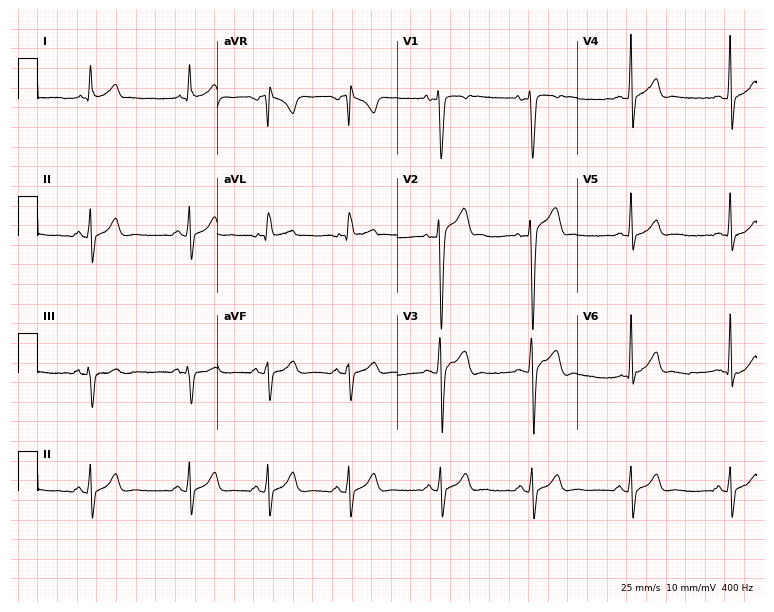
Resting 12-lead electrocardiogram (7.3-second recording at 400 Hz). Patient: a 21-year-old male. None of these six findings is recorded: first-degree AV block, right bundle branch block, left bundle branch block, sinus bradycardia, atrial fibrillation, sinus tachycardia.